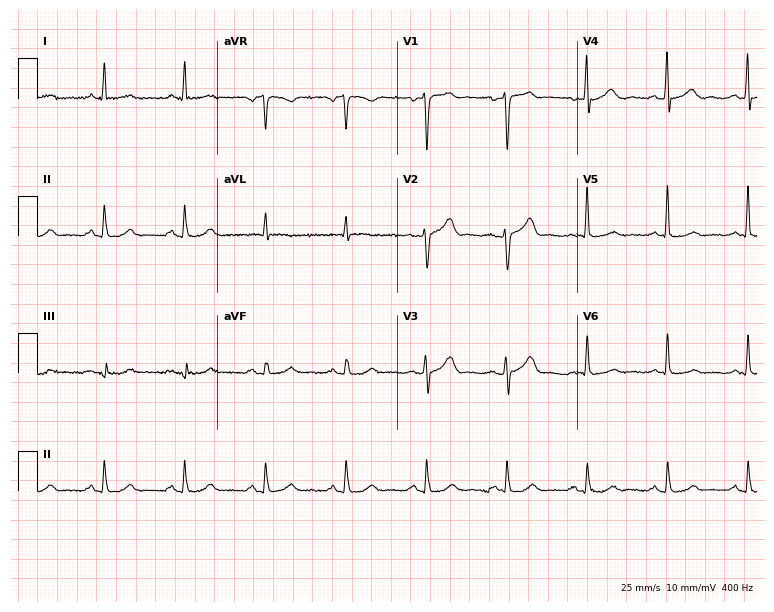
12-lead ECG from a man, 61 years old (7.3-second recording at 400 Hz). No first-degree AV block, right bundle branch block (RBBB), left bundle branch block (LBBB), sinus bradycardia, atrial fibrillation (AF) or sinus tachycardia recorded for this tracing. Findings outside these six are not listed.